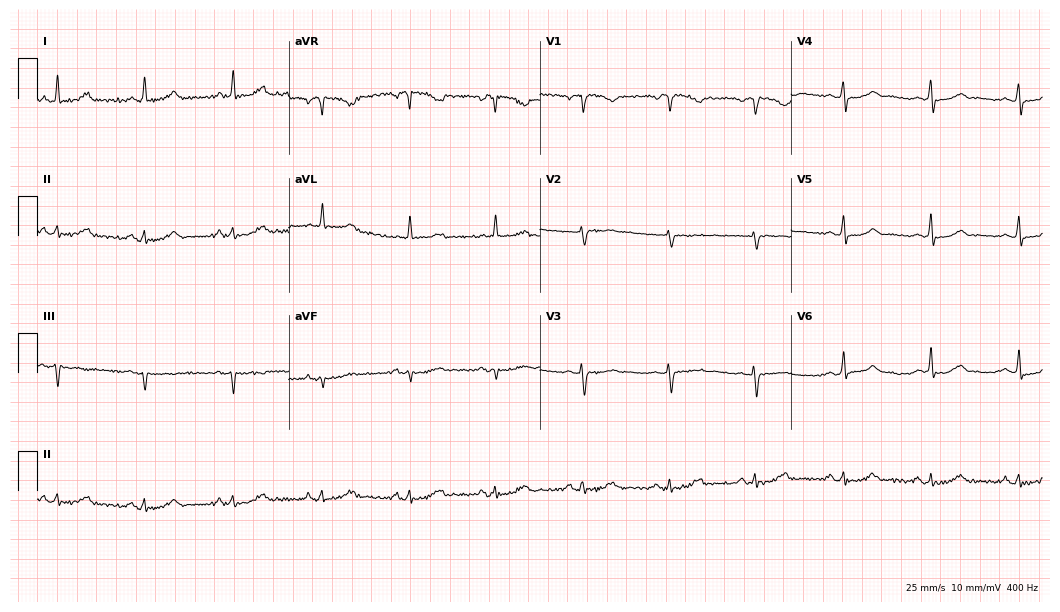
12-lead ECG from a 61-year-old female. No first-degree AV block, right bundle branch block, left bundle branch block, sinus bradycardia, atrial fibrillation or sinus tachycardia recorded for this tracing.